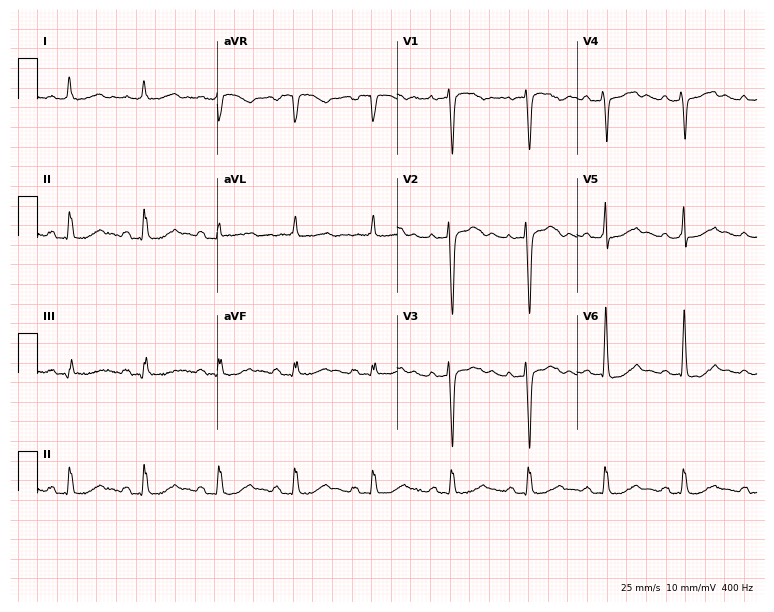
Resting 12-lead electrocardiogram. Patient: an 82-year-old female. None of these six findings is recorded: first-degree AV block, right bundle branch block, left bundle branch block, sinus bradycardia, atrial fibrillation, sinus tachycardia. Only these six findings were labelled.